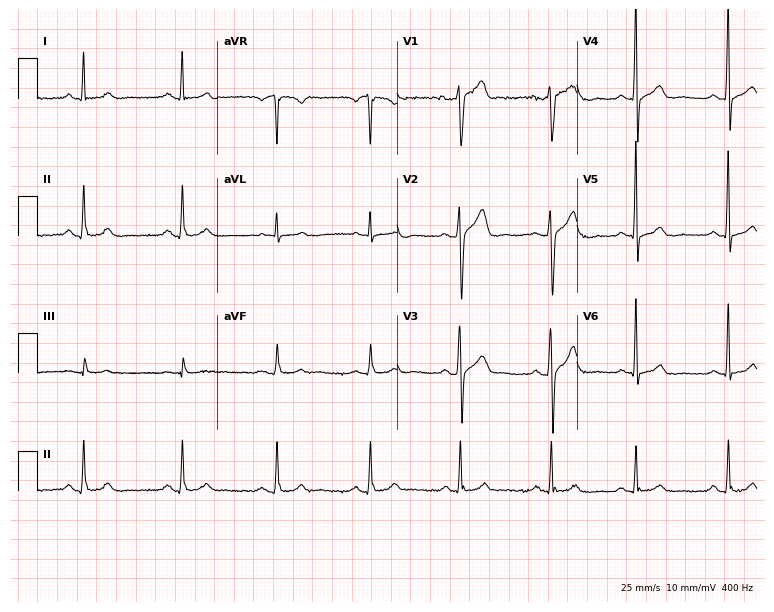
Standard 12-lead ECG recorded from a 45-year-old male (7.3-second recording at 400 Hz). None of these six findings is recorded: first-degree AV block, right bundle branch block (RBBB), left bundle branch block (LBBB), sinus bradycardia, atrial fibrillation (AF), sinus tachycardia.